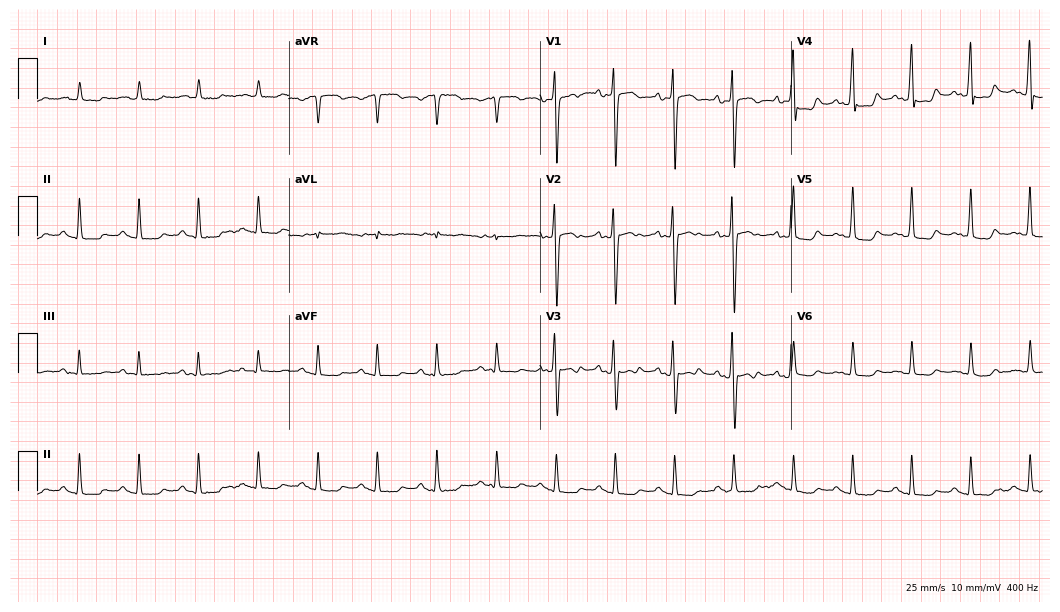
12-lead ECG (10.2-second recording at 400 Hz) from a 74-year-old male. Screened for six findings — first-degree AV block, right bundle branch block, left bundle branch block, sinus bradycardia, atrial fibrillation, sinus tachycardia — none is recorded. Findings outside these six are not listed.